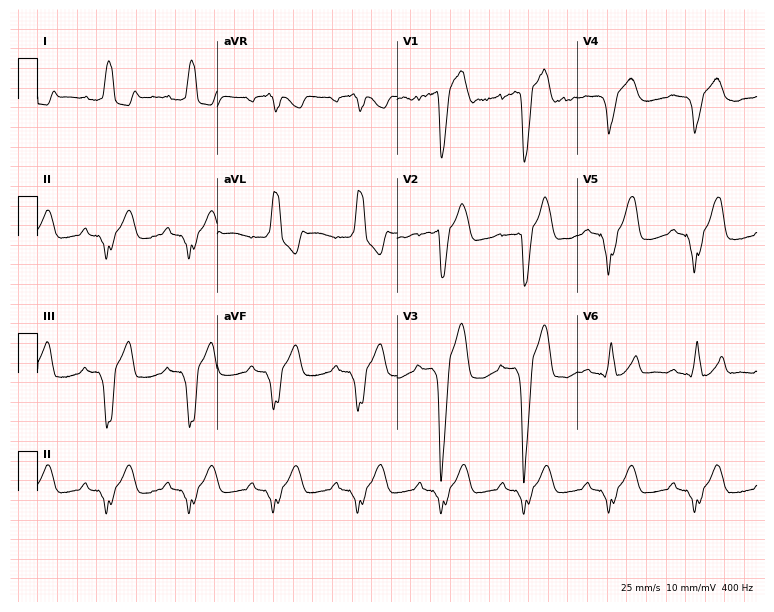
12-lead ECG from a 63-year-old male patient. Findings include left bundle branch block.